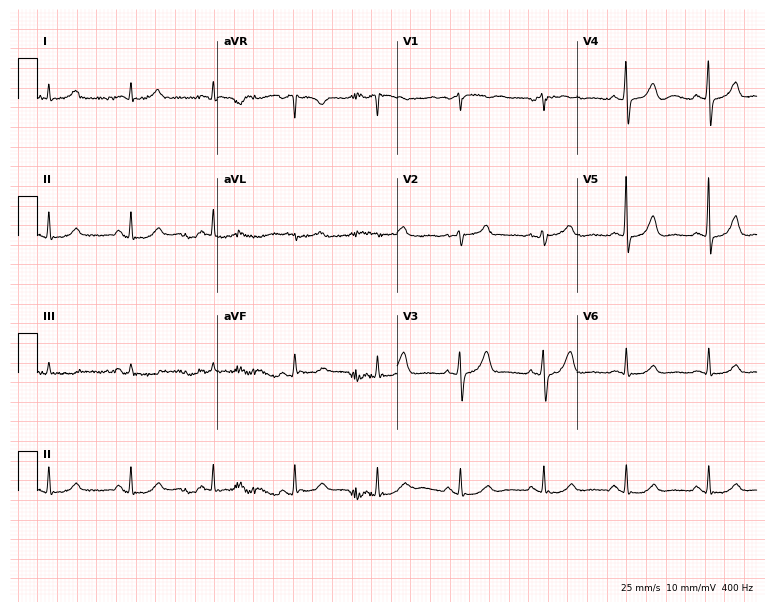
Standard 12-lead ECG recorded from a man, 72 years old (7.3-second recording at 400 Hz). None of these six findings is recorded: first-degree AV block, right bundle branch block (RBBB), left bundle branch block (LBBB), sinus bradycardia, atrial fibrillation (AF), sinus tachycardia. Findings outside these six are not listed.